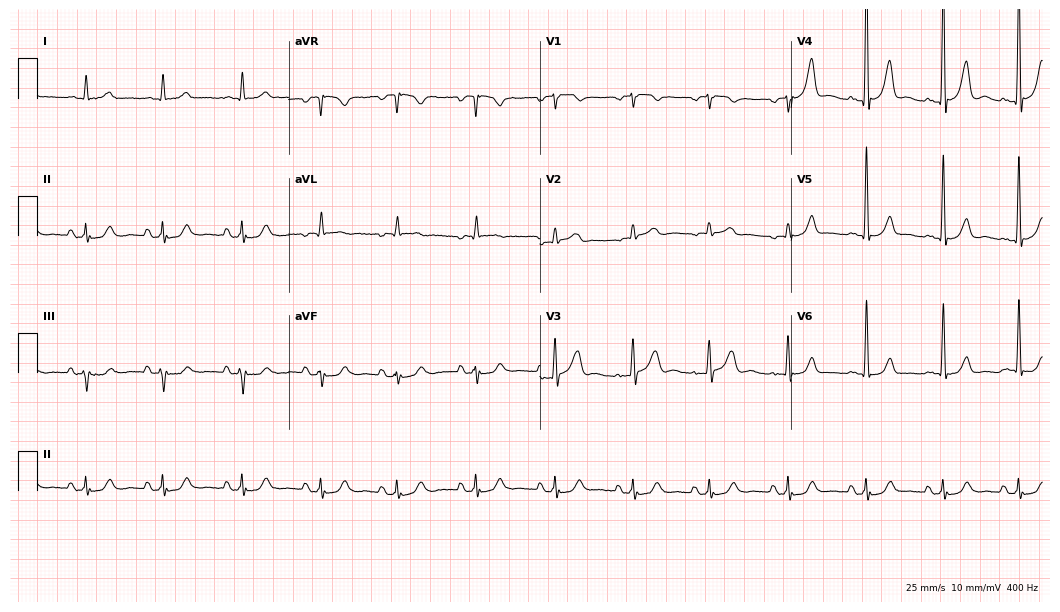
ECG — an 80-year-old male. Screened for six findings — first-degree AV block, right bundle branch block, left bundle branch block, sinus bradycardia, atrial fibrillation, sinus tachycardia — none is recorded. Only these six findings were labelled.